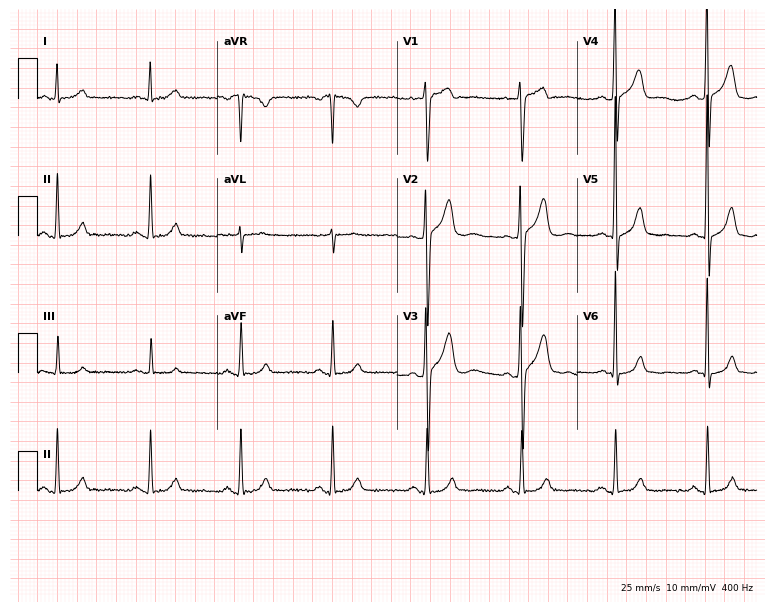
Electrocardiogram (7.3-second recording at 400 Hz), a 48-year-old man. Overall reading on record: normal ECG.